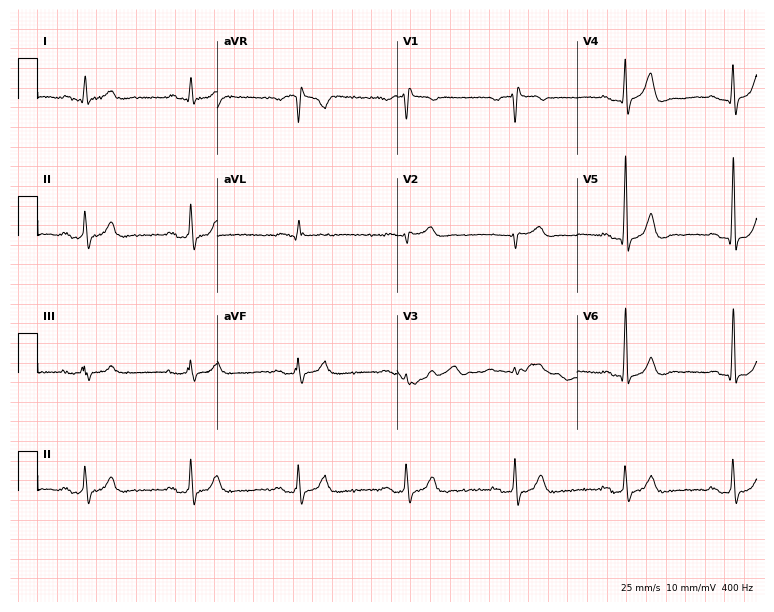
Electrocardiogram, a man, 79 years old. Of the six screened findings (first-degree AV block, right bundle branch block (RBBB), left bundle branch block (LBBB), sinus bradycardia, atrial fibrillation (AF), sinus tachycardia), none is recorded.